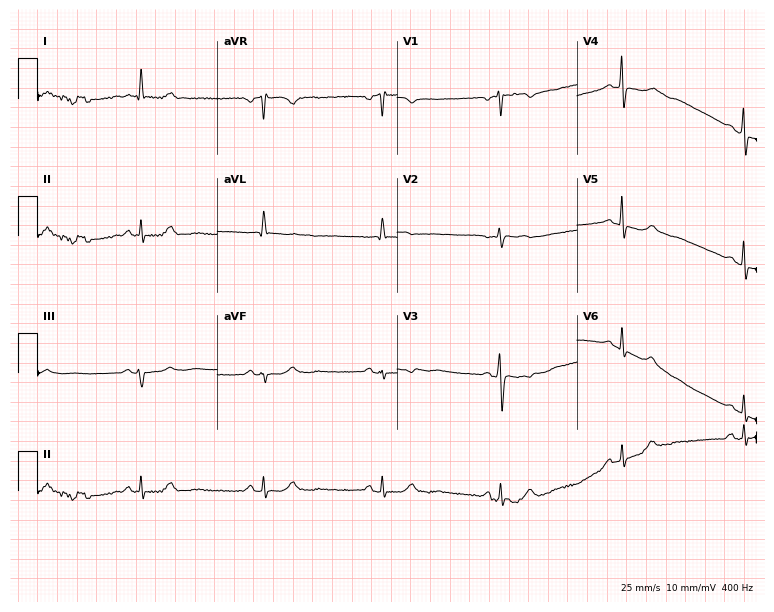
Resting 12-lead electrocardiogram. Patient: a 62-year-old female. None of these six findings is recorded: first-degree AV block, right bundle branch block, left bundle branch block, sinus bradycardia, atrial fibrillation, sinus tachycardia. Only these six findings were labelled.